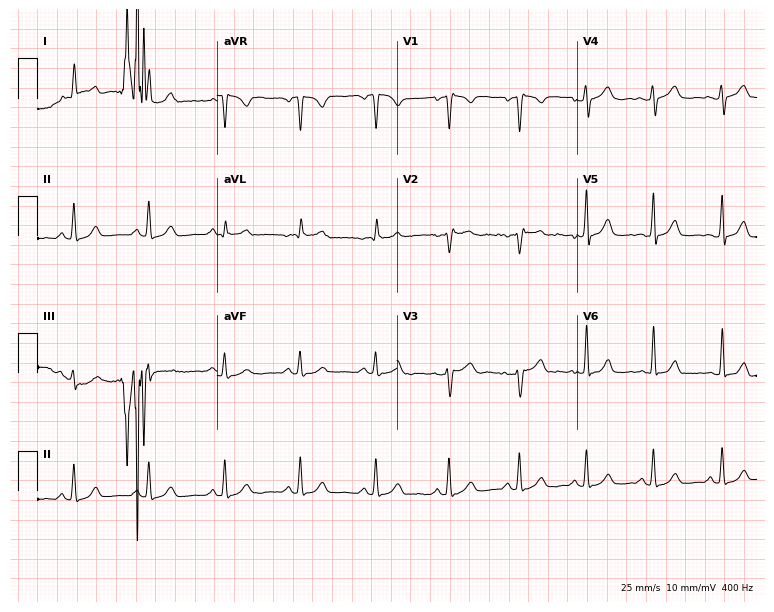
Electrocardiogram (7.3-second recording at 400 Hz), a 46-year-old woman. Of the six screened findings (first-degree AV block, right bundle branch block, left bundle branch block, sinus bradycardia, atrial fibrillation, sinus tachycardia), none is recorded. Only these six findings were labelled.